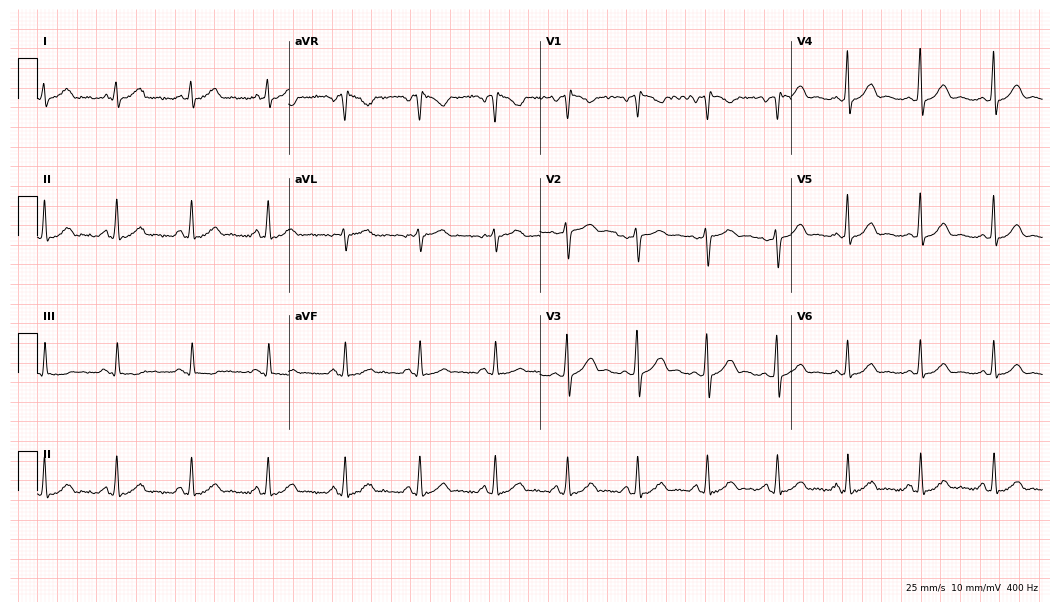
Electrocardiogram, a 34-year-old female. Overall reading on record: normal ECG.